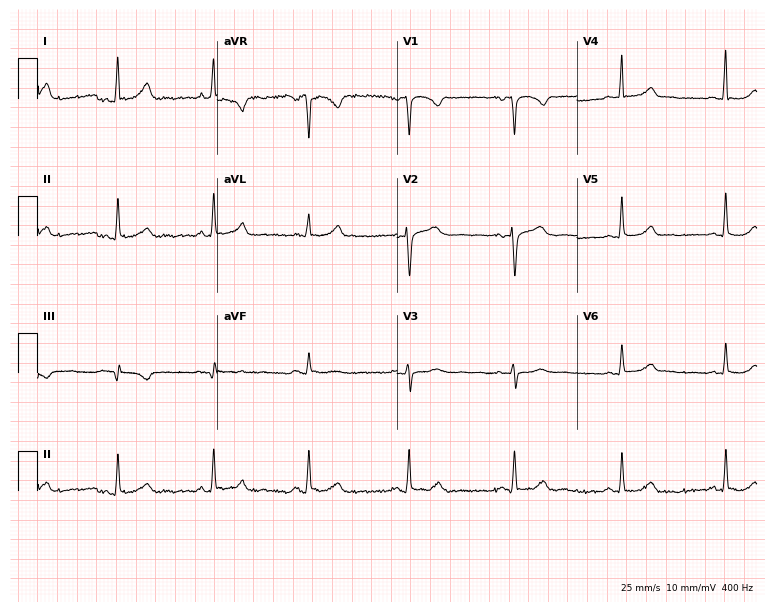
Standard 12-lead ECG recorded from a 57-year-old female patient (7.3-second recording at 400 Hz). Read as a normal ECG.